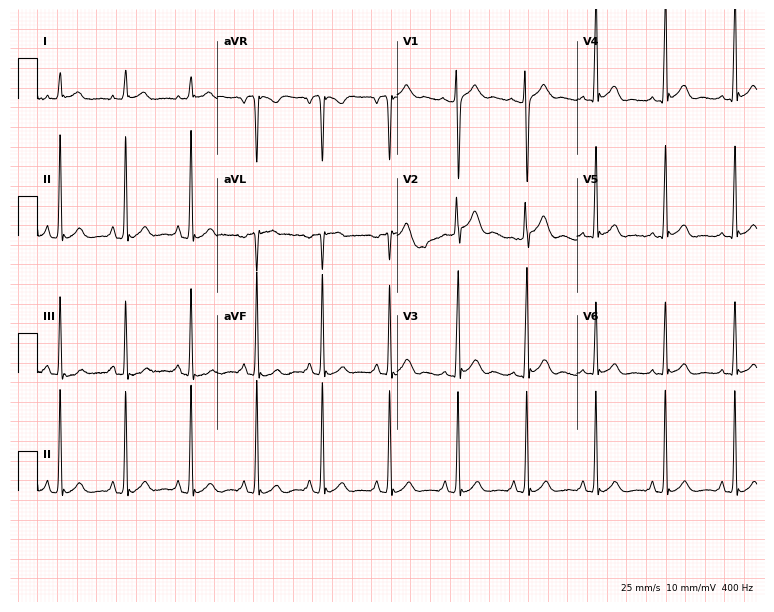
12-lead ECG from a male patient, 23 years old. Recorded interpretation: within normal limits.